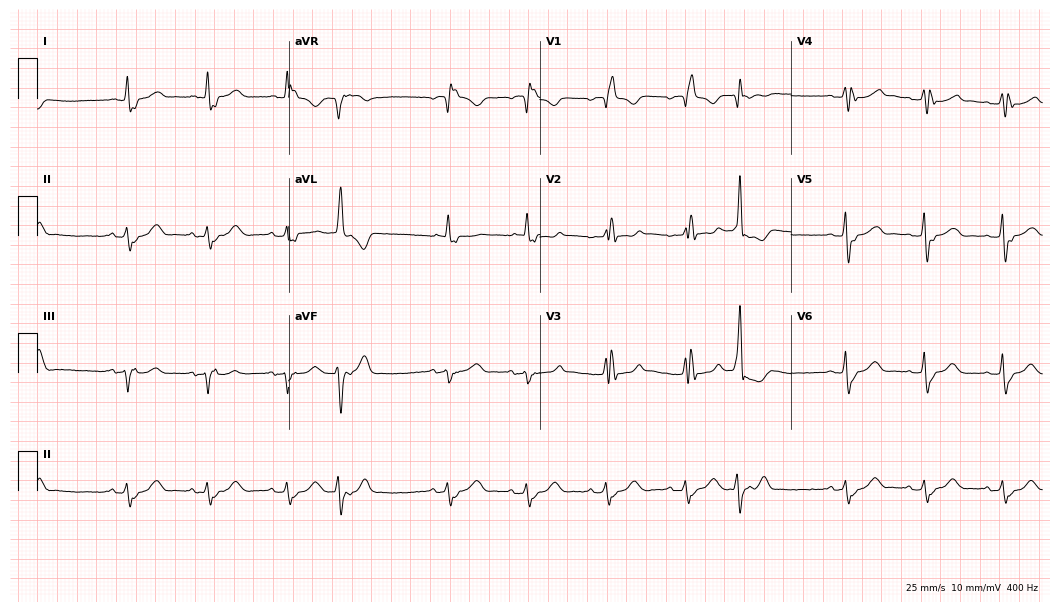
12-lead ECG from a female patient, 69 years old (10.2-second recording at 400 Hz). Shows right bundle branch block, atrial fibrillation.